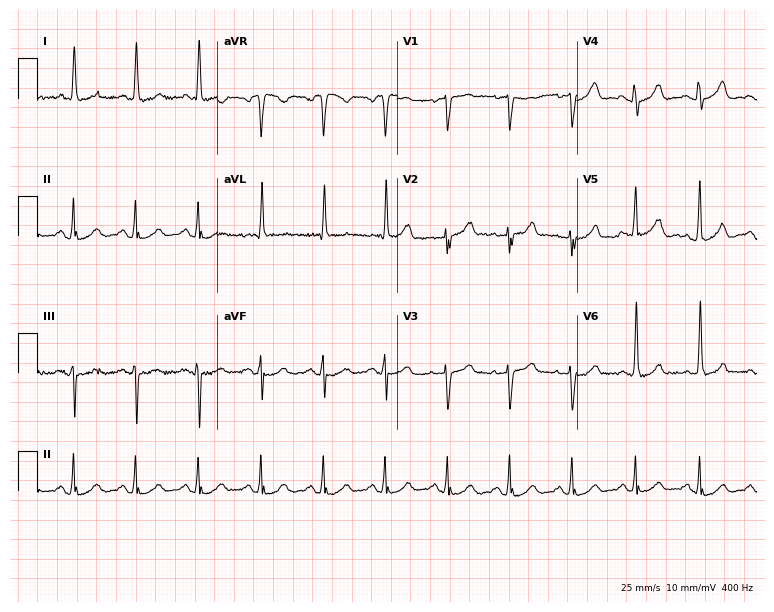
12-lead ECG from a female, 68 years old (7.3-second recording at 400 Hz). Recorded interpretation: within normal limits.